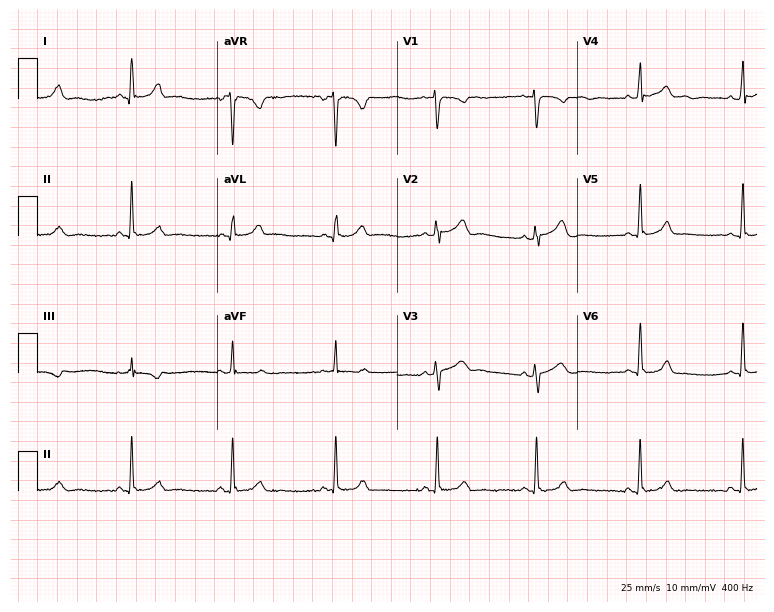
Resting 12-lead electrocardiogram. Patient: a female, 30 years old. None of these six findings is recorded: first-degree AV block, right bundle branch block, left bundle branch block, sinus bradycardia, atrial fibrillation, sinus tachycardia.